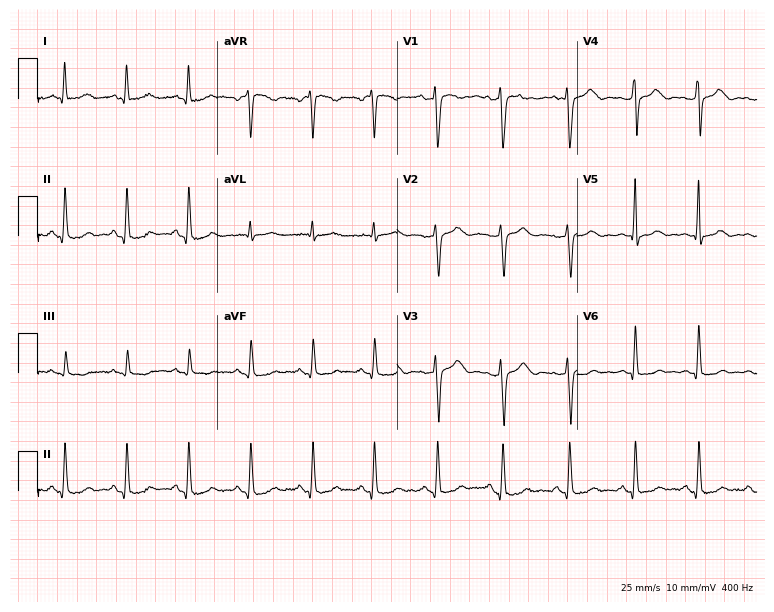
Resting 12-lead electrocardiogram (7.3-second recording at 400 Hz). Patient: a 37-year-old female. Read as a normal ECG.